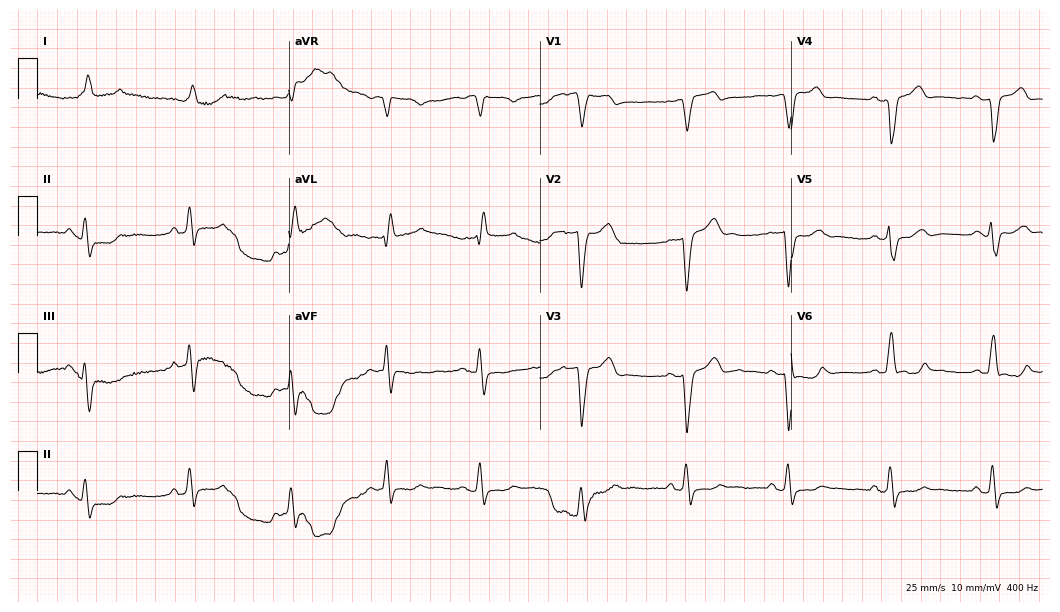
ECG — an 86-year-old man. Findings include left bundle branch block.